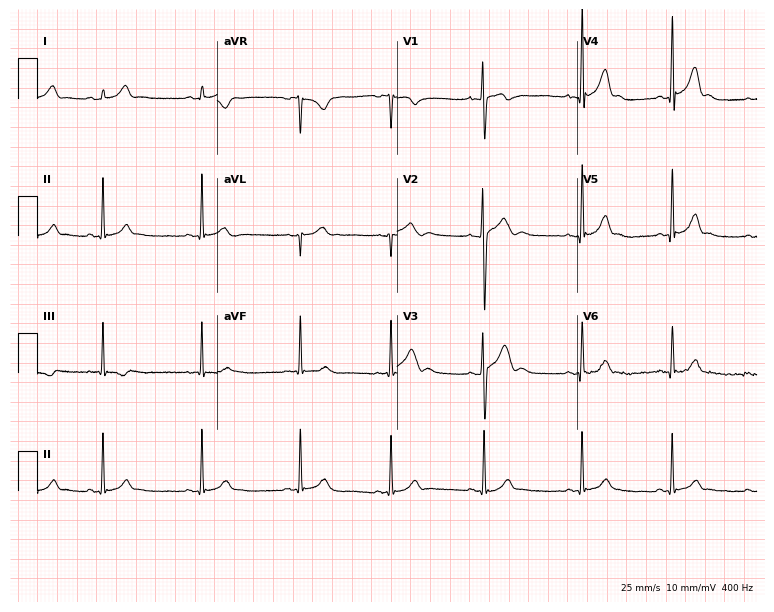
Standard 12-lead ECG recorded from a male patient, 19 years old (7.3-second recording at 400 Hz). Read as a normal ECG.